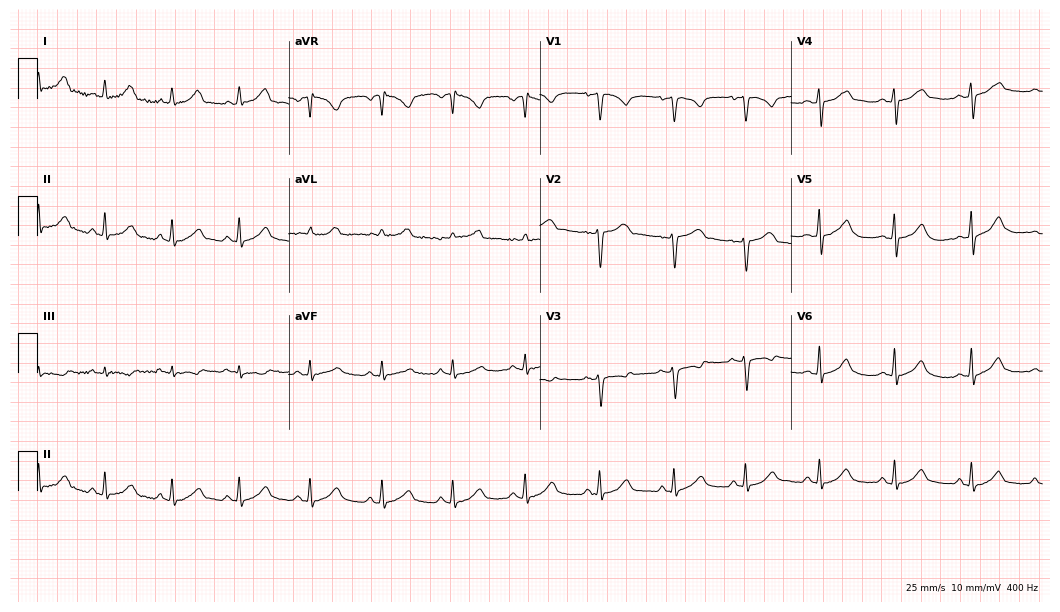
Resting 12-lead electrocardiogram. Patient: a woman, 17 years old. Read as a normal ECG.